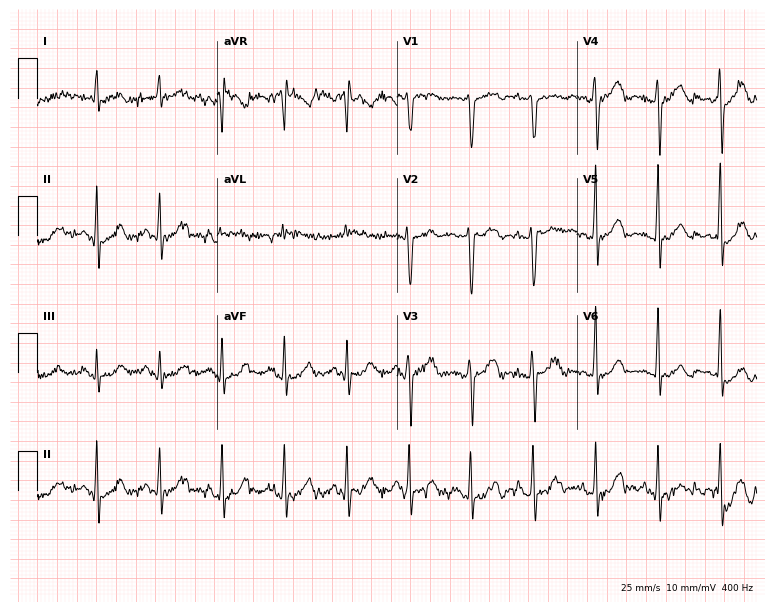
ECG (7.3-second recording at 400 Hz) — a female patient, 70 years old. Screened for six findings — first-degree AV block, right bundle branch block, left bundle branch block, sinus bradycardia, atrial fibrillation, sinus tachycardia — none is recorded. Other findings, if any, are not listed.